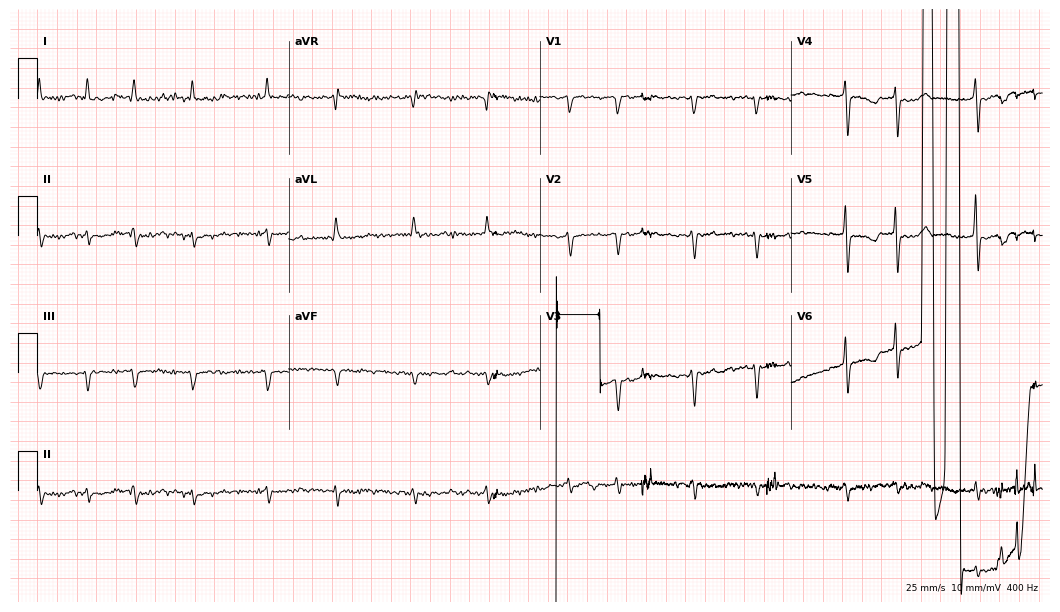
12-lead ECG from a 71-year-old female (10.2-second recording at 400 Hz). No first-degree AV block, right bundle branch block, left bundle branch block, sinus bradycardia, atrial fibrillation or sinus tachycardia recorded for this tracing.